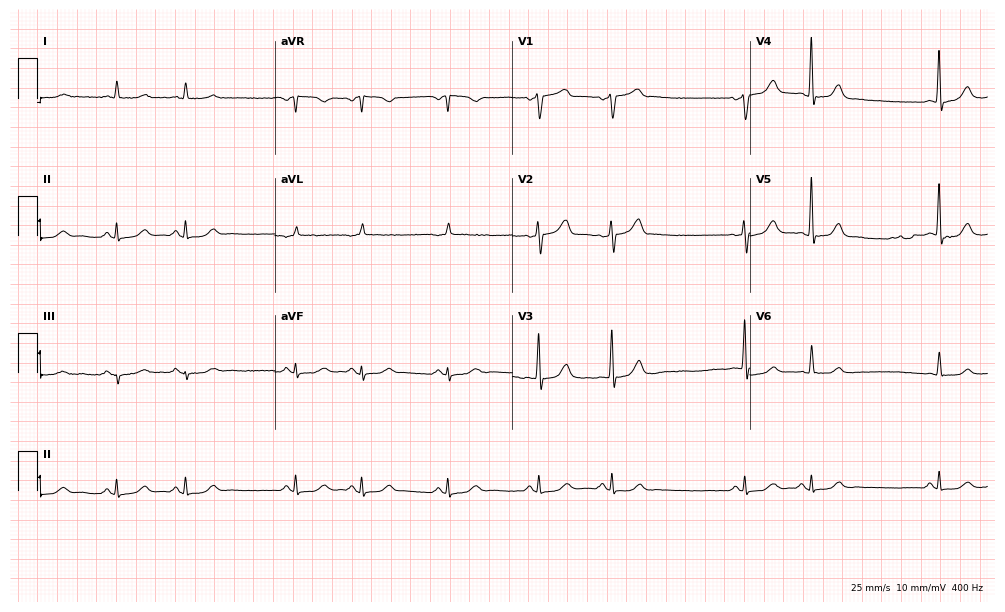
12-lead ECG (9.7-second recording at 400 Hz) from an 85-year-old male patient. Screened for six findings — first-degree AV block, right bundle branch block, left bundle branch block, sinus bradycardia, atrial fibrillation, sinus tachycardia — none is recorded.